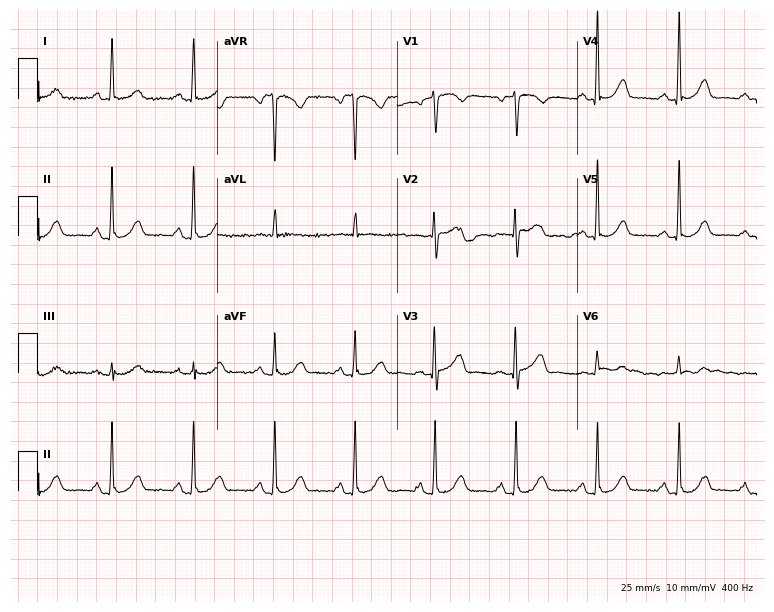
Electrocardiogram, a woman, 75 years old. Overall reading on record: normal ECG.